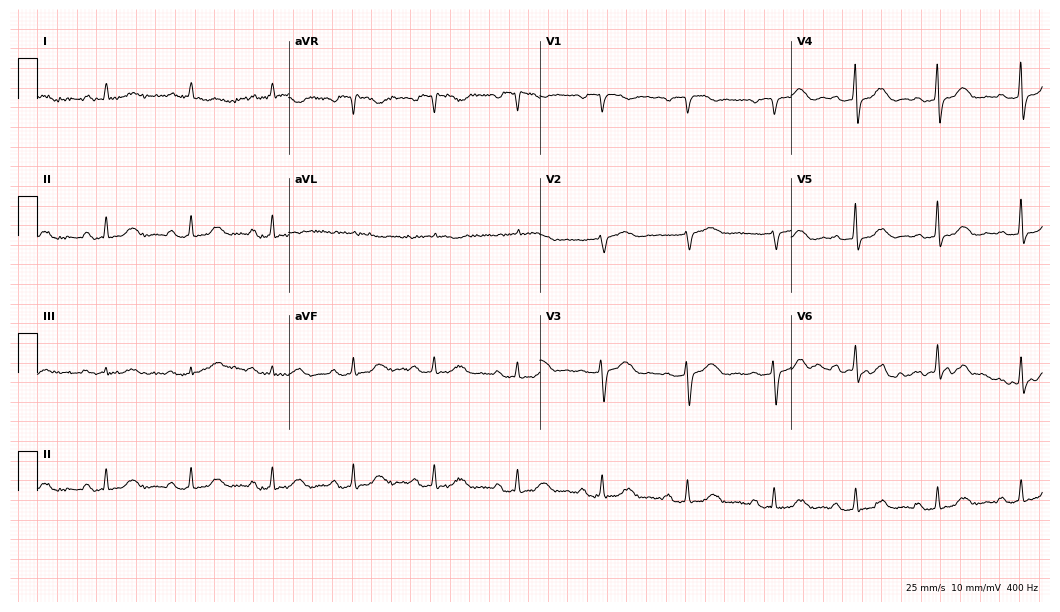
Standard 12-lead ECG recorded from an 85-year-old female. None of these six findings is recorded: first-degree AV block, right bundle branch block (RBBB), left bundle branch block (LBBB), sinus bradycardia, atrial fibrillation (AF), sinus tachycardia. Findings outside these six are not listed.